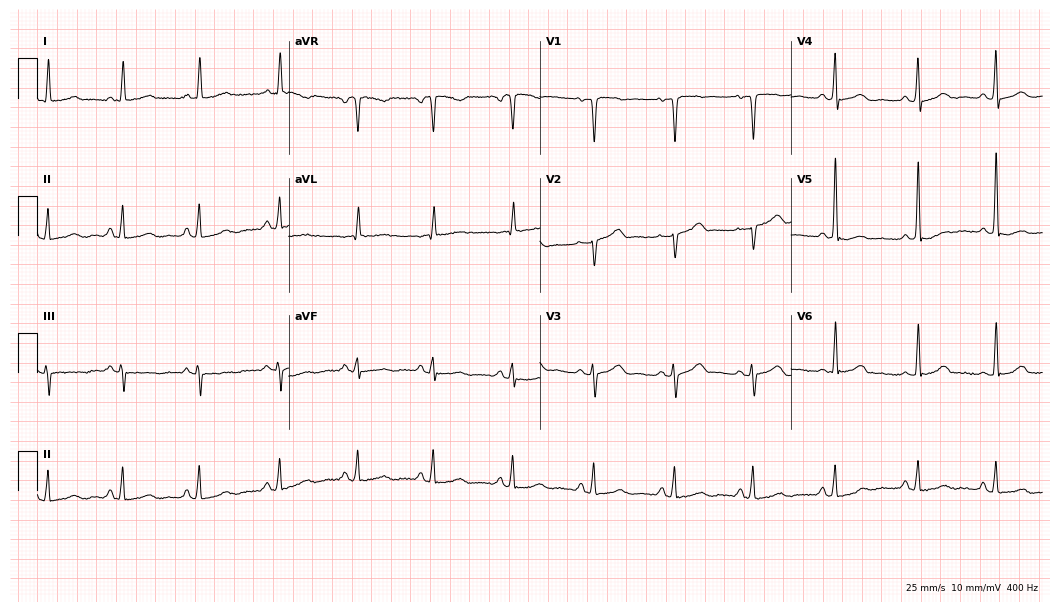
12-lead ECG from a woman, 60 years old. No first-degree AV block, right bundle branch block (RBBB), left bundle branch block (LBBB), sinus bradycardia, atrial fibrillation (AF) or sinus tachycardia recorded for this tracing. Other findings, if any, are not listed.